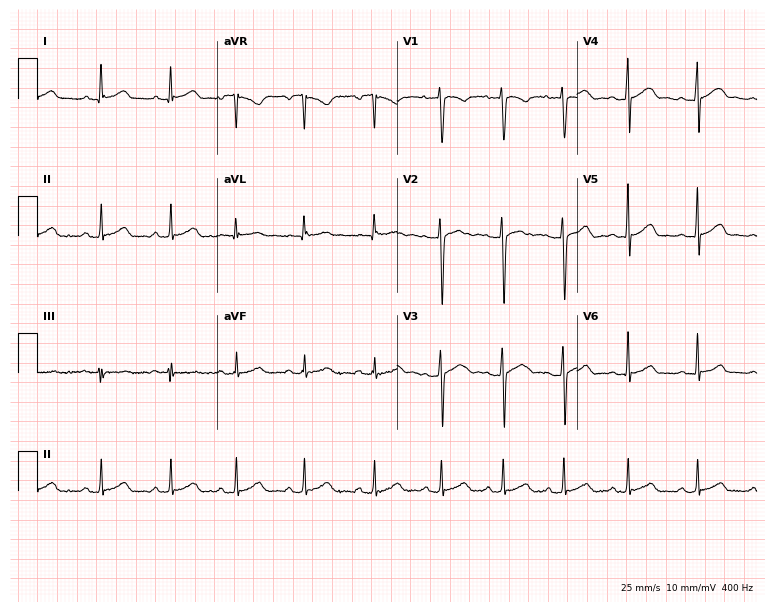
12-lead ECG from a woman, 26 years old. Labelled as a normal ECG.